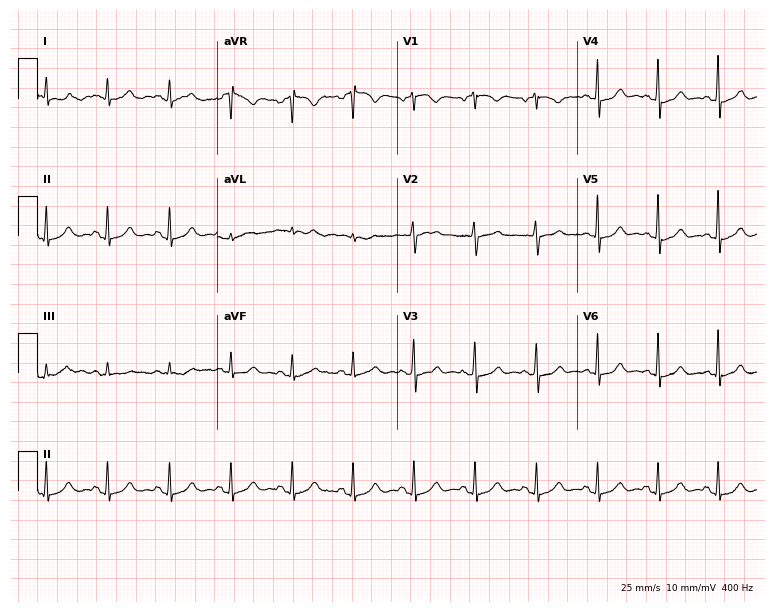
Electrocardiogram (7.3-second recording at 400 Hz), a woman, 51 years old. Overall reading on record: normal ECG.